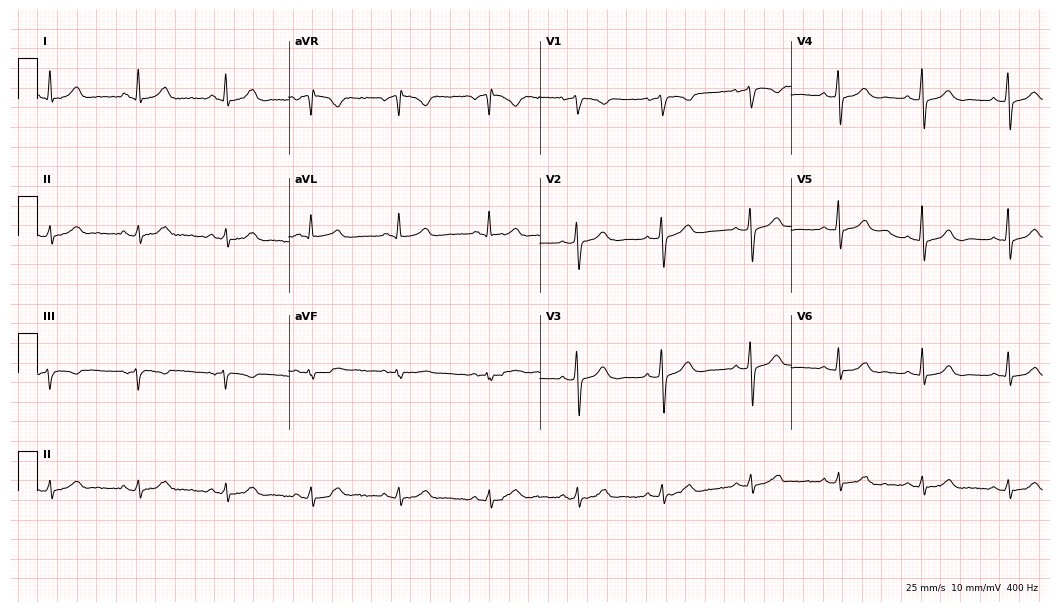
ECG — a 51-year-old woman. Labelled as a normal ECG.